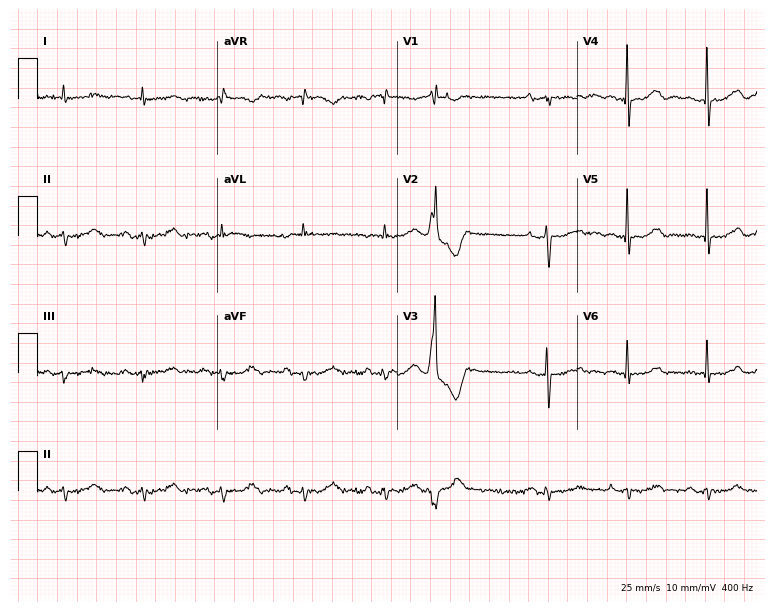
12-lead ECG from an 87-year-old female. No first-degree AV block, right bundle branch block (RBBB), left bundle branch block (LBBB), sinus bradycardia, atrial fibrillation (AF) or sinus tachycardia recorded for this tracing.